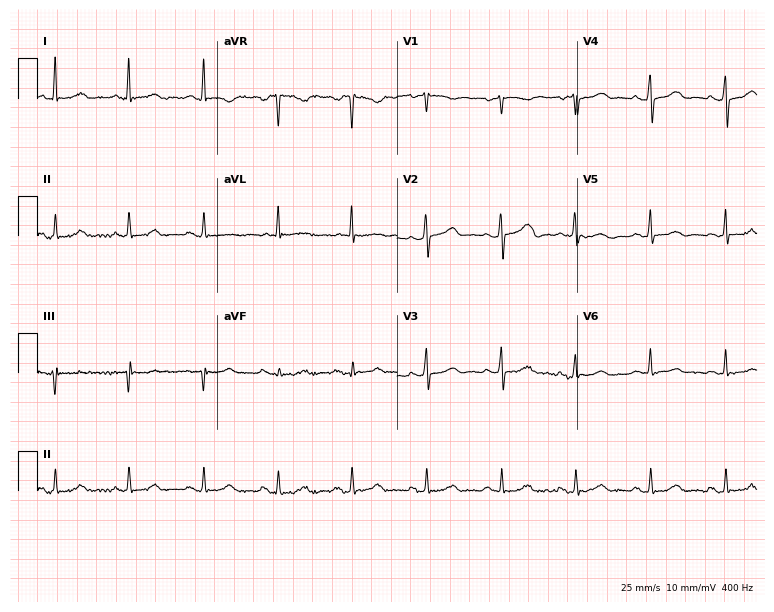
Resting 12-lead electrocardiogram. Patient: a woman, 77 years old. None of these six findings is recorded: first-degree AV block, right bundle branch block, left bundle branch block, sinus bradycardia, atrial fibrillation, sinus tachycardia.